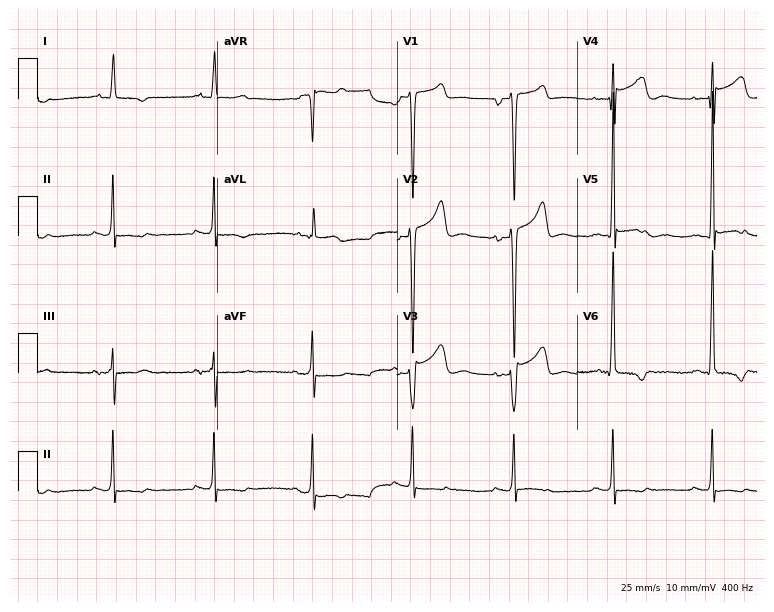
12-lead ECG from a 53-year-old male. Screened for six findings — first-degree AV block, right bundle branch block (RBBB), left bundle branch block (LBBB), sinus bradycardia, atrial fibrillation (AF), sinus tachycardia — none is recorded.